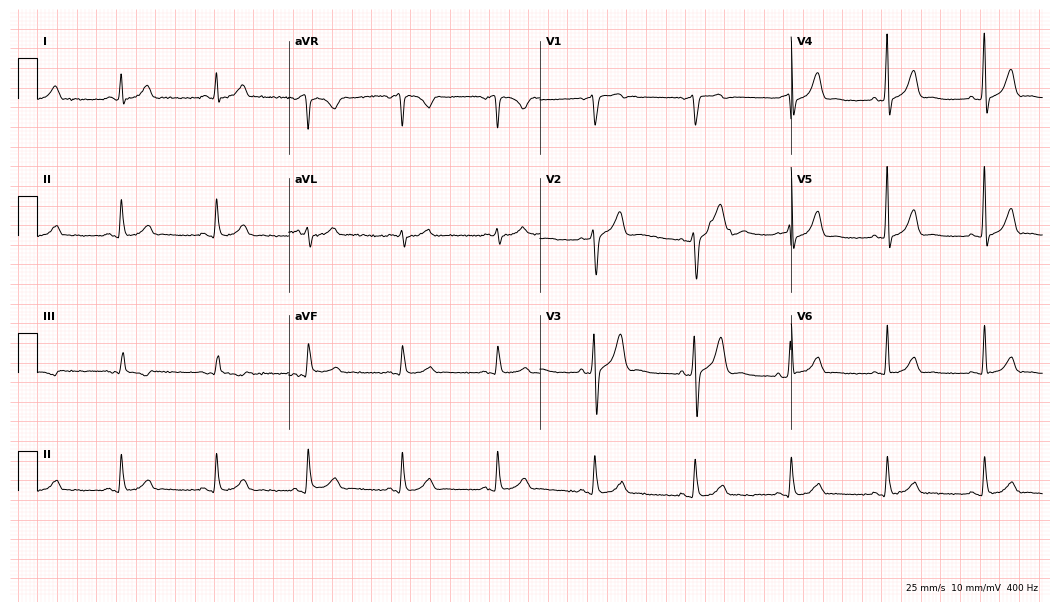
Resting 12-lead electrocardiogram. Patient: a 59-year-old male. Read as a normal ECG.